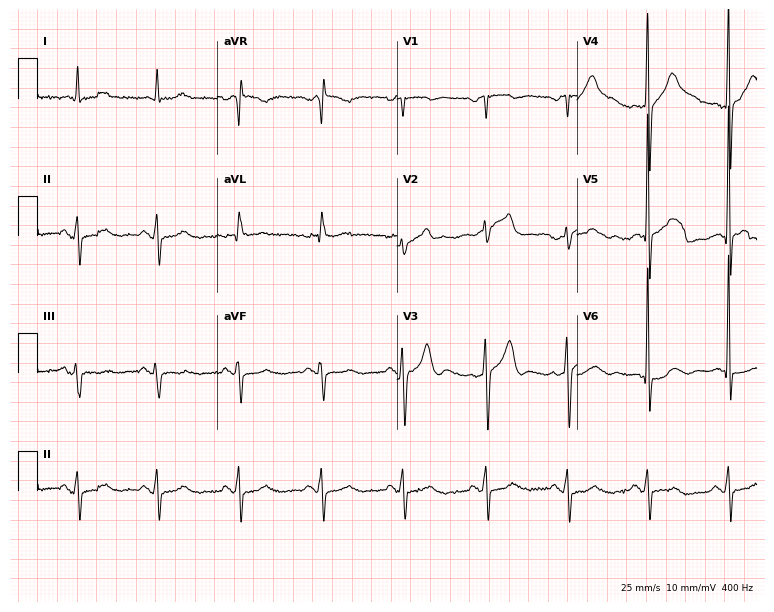
Standard 12-lead ECG recorded from a man, 60 years old. Read as a normal ECG.